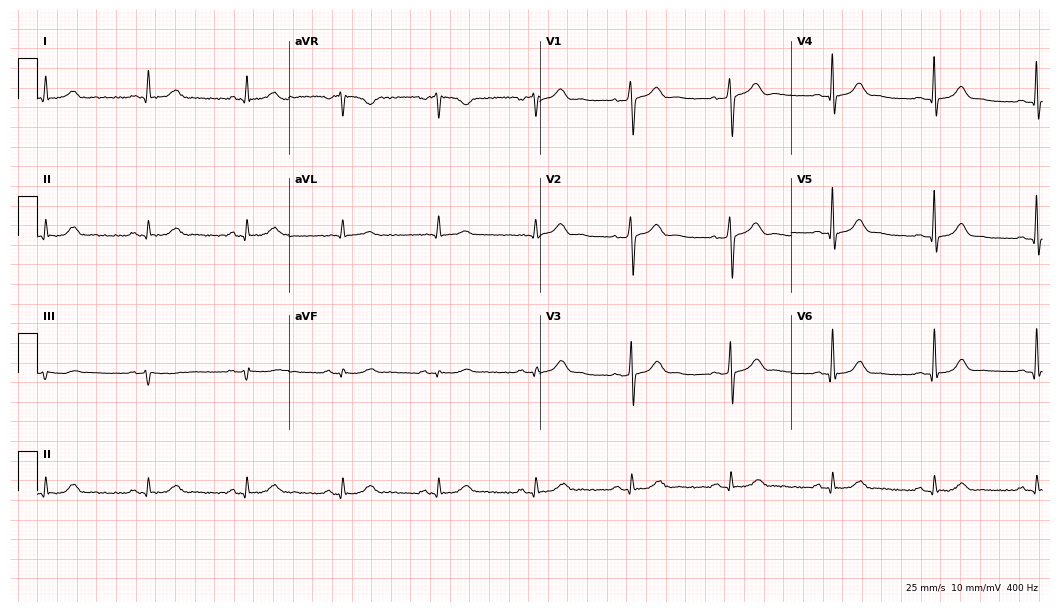
Resting 12-lead electrocardiogram. Patient: a man, 47 years old. Read as a normal ECG.